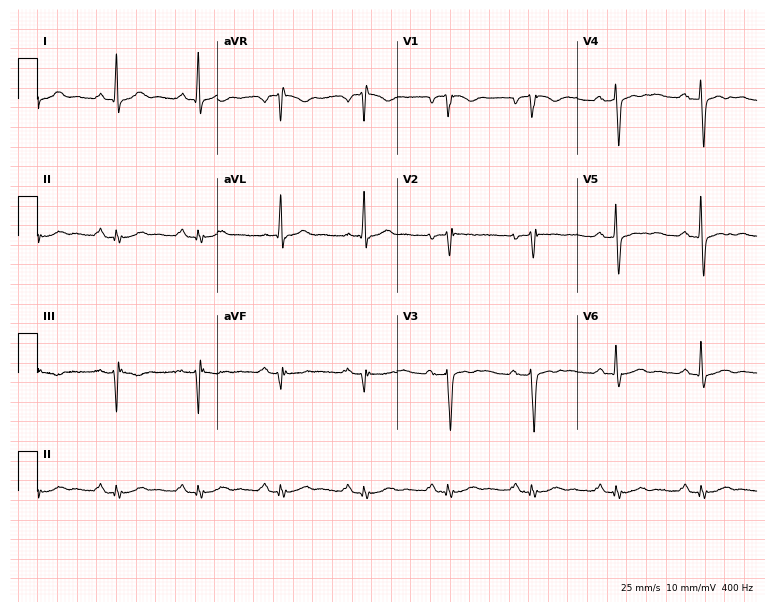
Standard 12-lead ECG recorded from a 55-year-old man (7.3-second recording at 400 Hz). None of these six findings is recorded: first-degree AV block, right bundle branch block, left bundle branch block, sinus bradycardia, atrial fibrillation, sinus tachycardia.